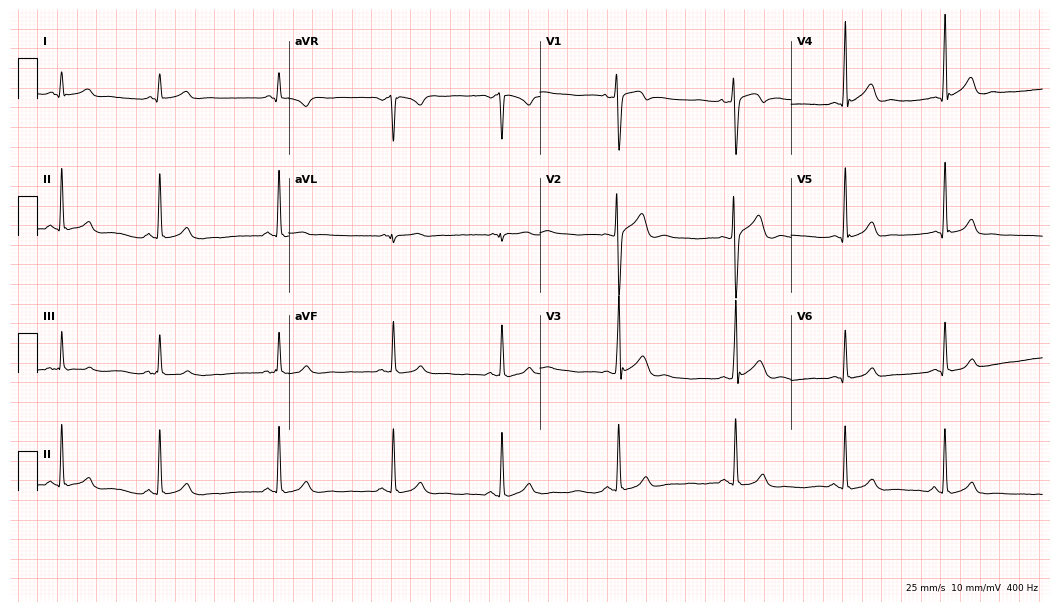
Resting 12-lead electrocardiogram (10.2-second recording at 400 Hz). Patient: a male, 34 years old. Read as a normal ECG.